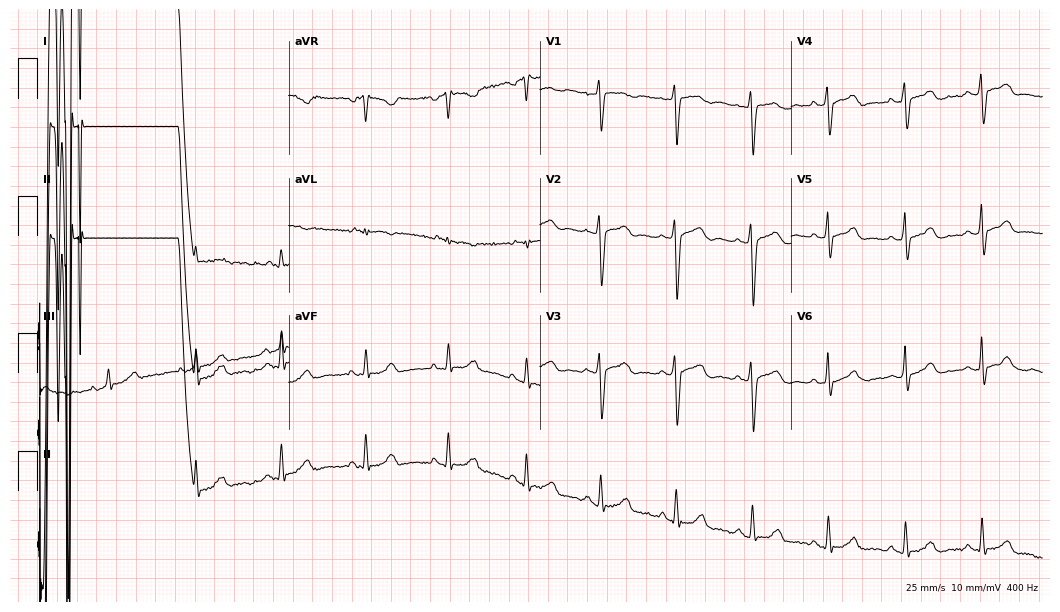
Electrocardiogram, a 22-year-old woman. Overall reading on record: normal ECG.